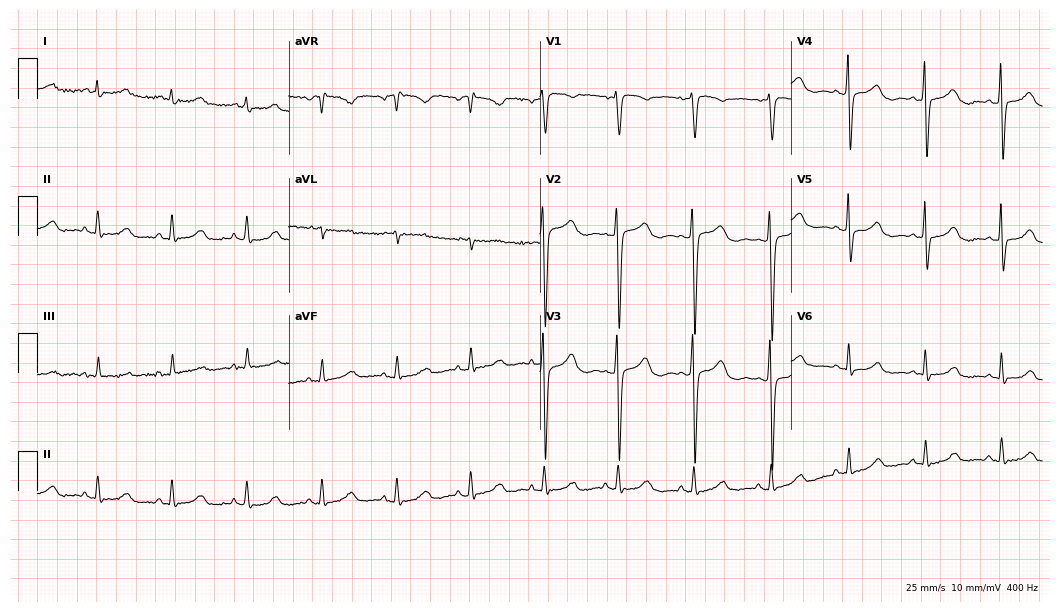
Electrocardiogram, a female, 47 years old. Of the six screened findings (first-degree AV block, right bundle branch block, left bundle branch block, sinus bradycardia, atrial fibrillation, sinus tachycardia), none is recorded.